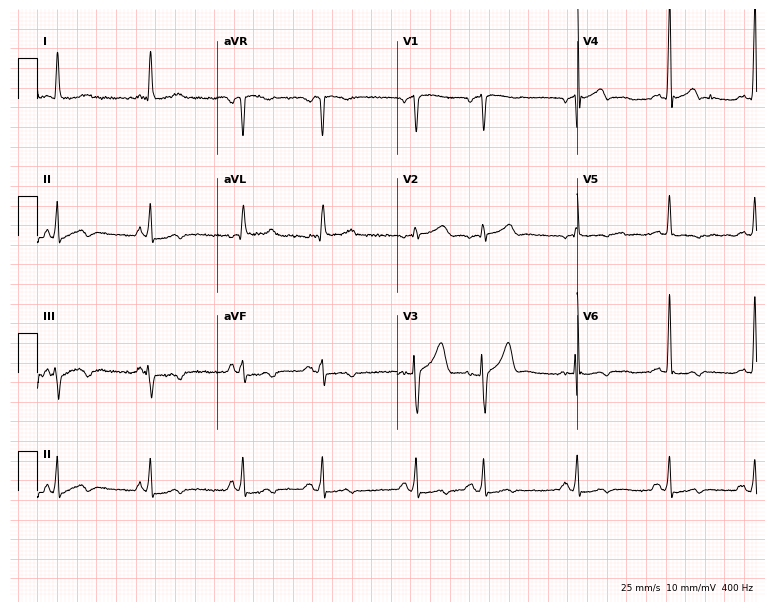
Electrocardiogram, a 76-year-old man. Of the six screened findings (first-degree AV block, right bundle branch block, left bundle branch block, sinus bradycardia, atrial fibrillation, sinus tachycardia), none is recorded.